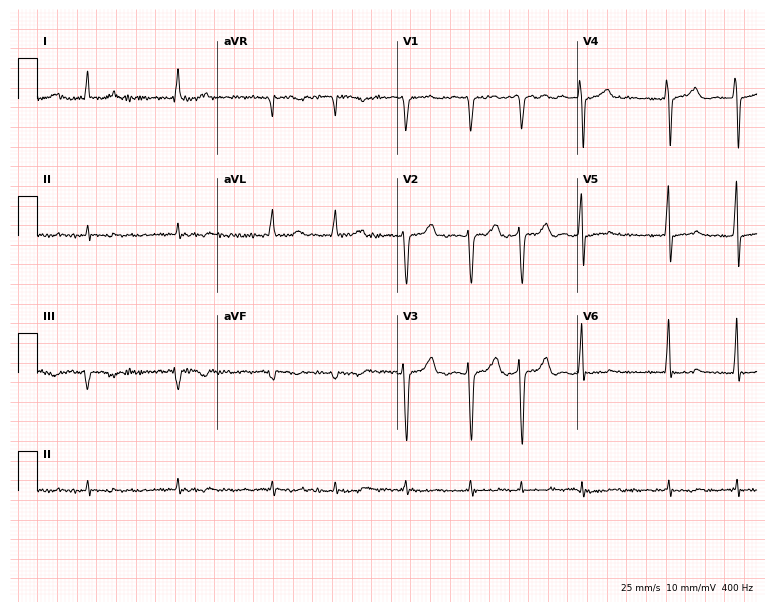
Resting 12-lead electrocardiogram. Patient: a 70-year-old male. The tracing shows atrial fibrillation.